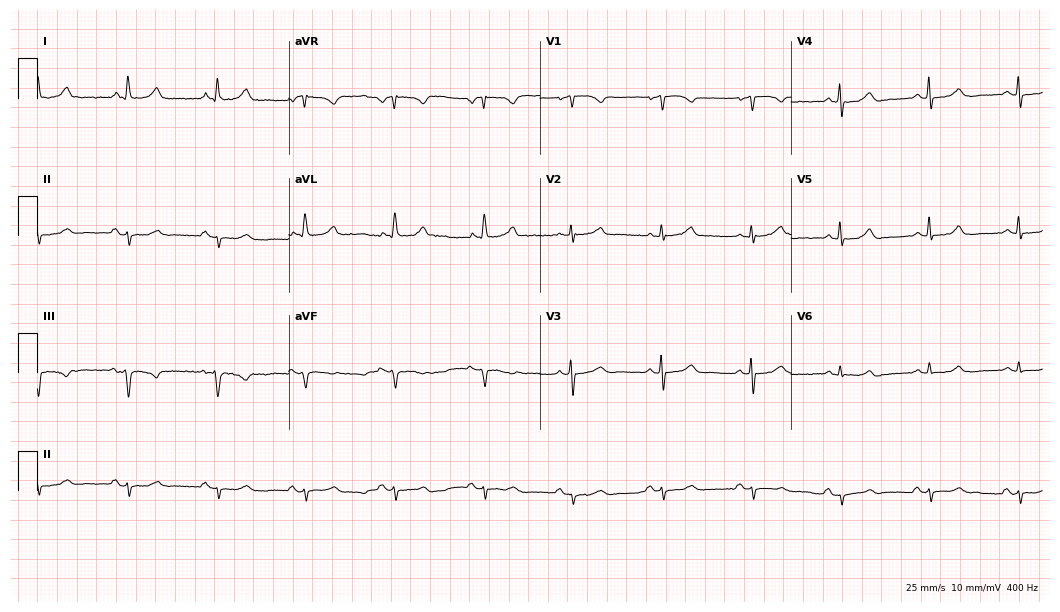
ECG — a 68-year-old woman. Screened for six findings — first-degree AV block, right bundle branch block, left bundle branch block, sinus bradycardia, atrial fibrillation, sinus tachycardia — none is recorded.